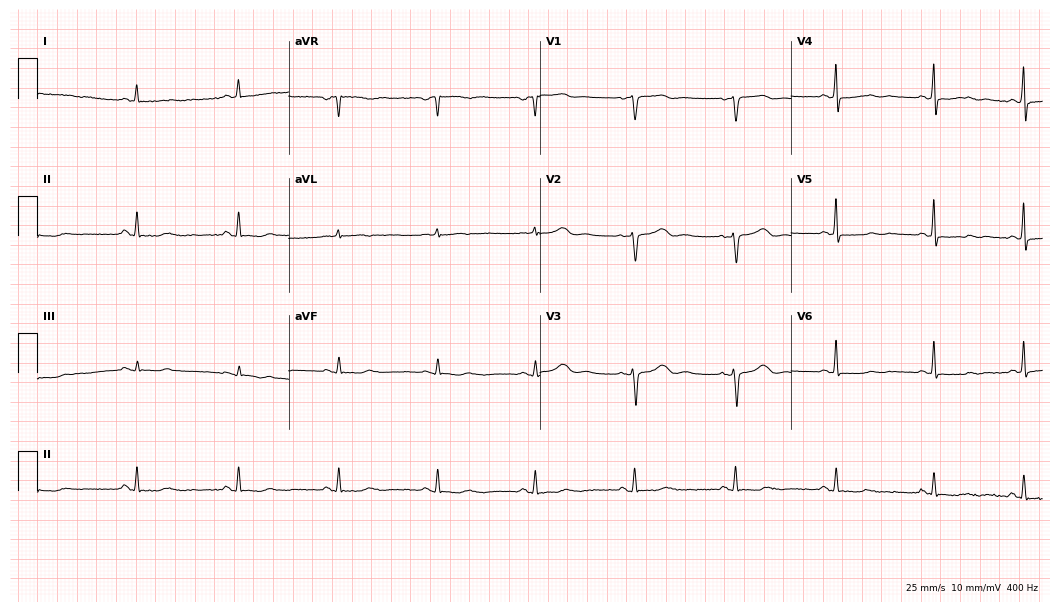
12-lead ECG from a woman, 62 years old (10.2-second recording at 400 Hz). No first-degree AV block, right bundle branch block, left bundle branch block, sinus bradycardia, atrial fibrillation or sinus tachycardia recorded for this tracing. Only these six findings were labelled.